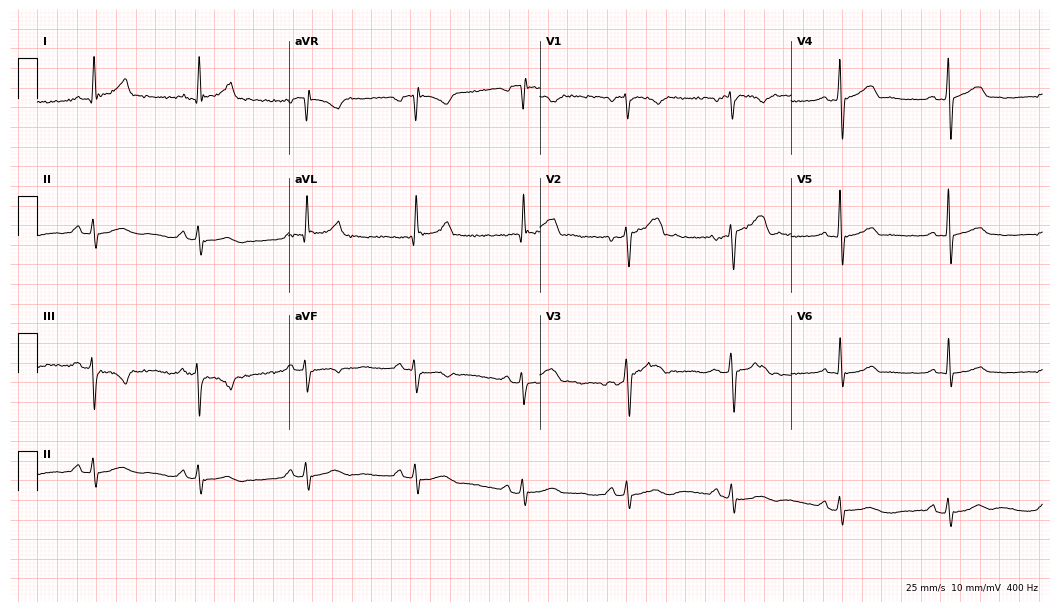
12-lead ECG from a male patient, 44 years old (10.2-second recording at 400 Hz). Recorded interpretation: within normal limits.